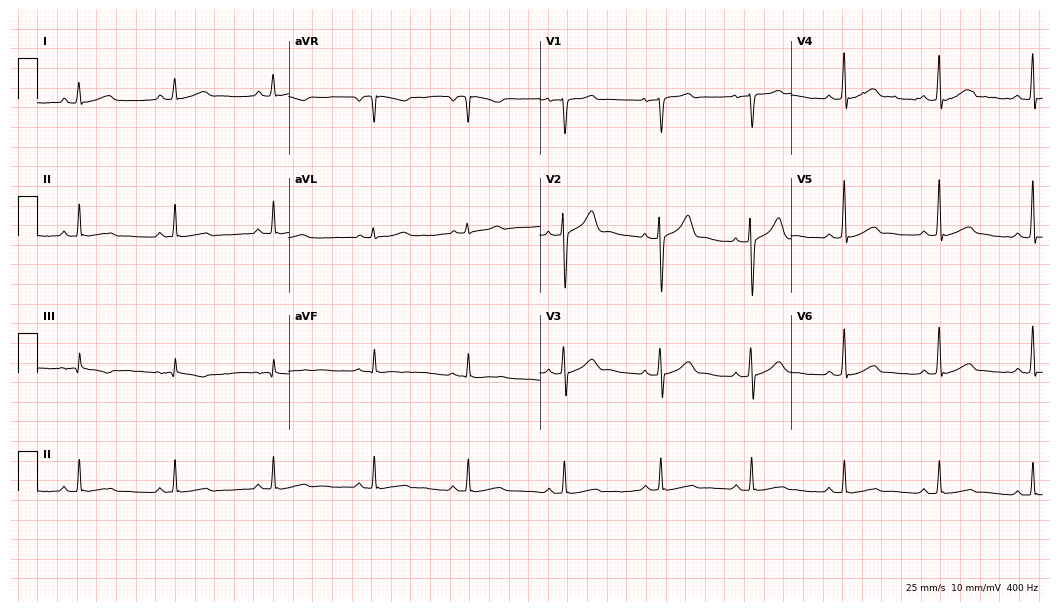
Standard 12-lead ECG recorded from a man, 40 years old. Read as a normal ECG.